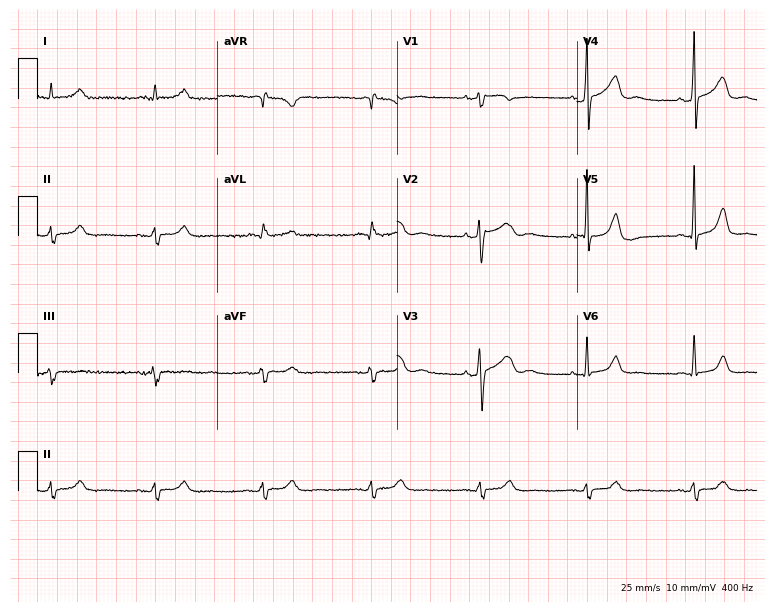
ECG (7.3-second recording at 400 Hz) — a 64-year-old male patient. Screened for six findings — first-degree AV block, right bundle branch block, left bundle branch block, sinus bradycardia, atrial fibrillation, sinus tachycardia — none is recorded. Other findings, if any, are not listed.